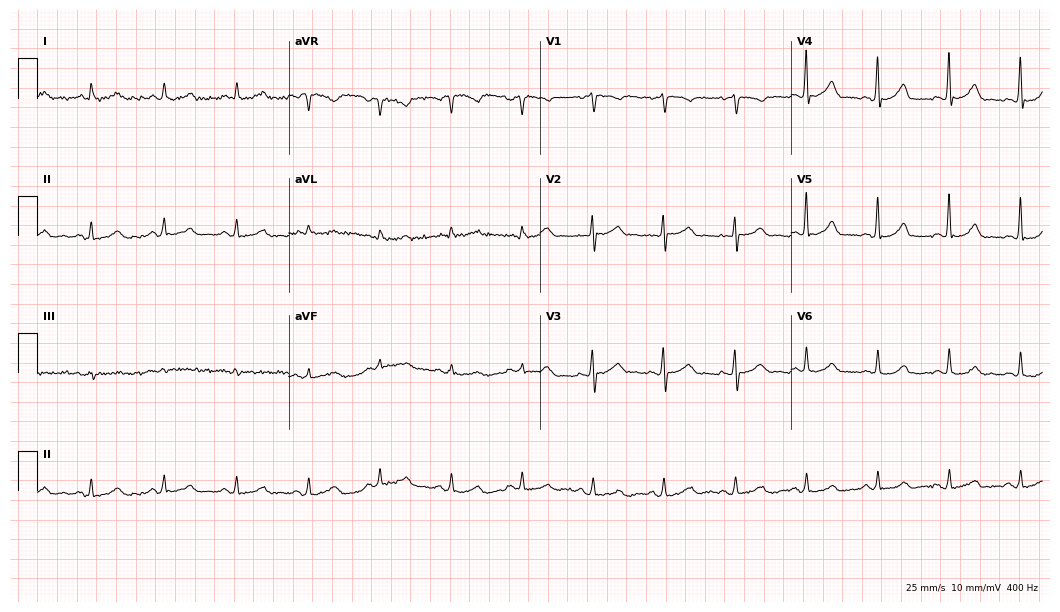
Resting 12-lead electrocardiogram. Patient: a 61-year-old woman. Read as a normal ECG.